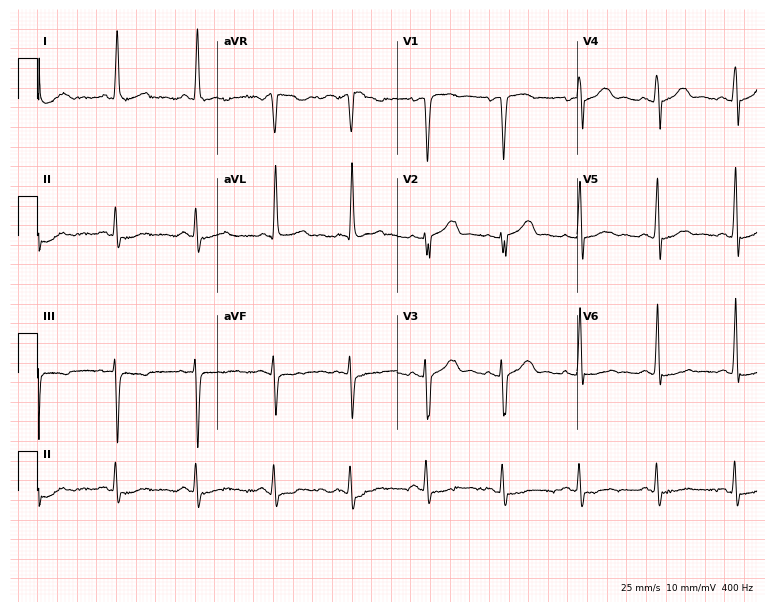
Standard 12-lead ECG recorded from a female, 75 years old (7.3-second recording at 400 Hz). None of these six findings is recorded: first-degree AV block, right bundle branch block, left bundle branch block, sinus bradycardia, atrial fibrillation, sinus tachycardia. Findings outside these six are not listed.